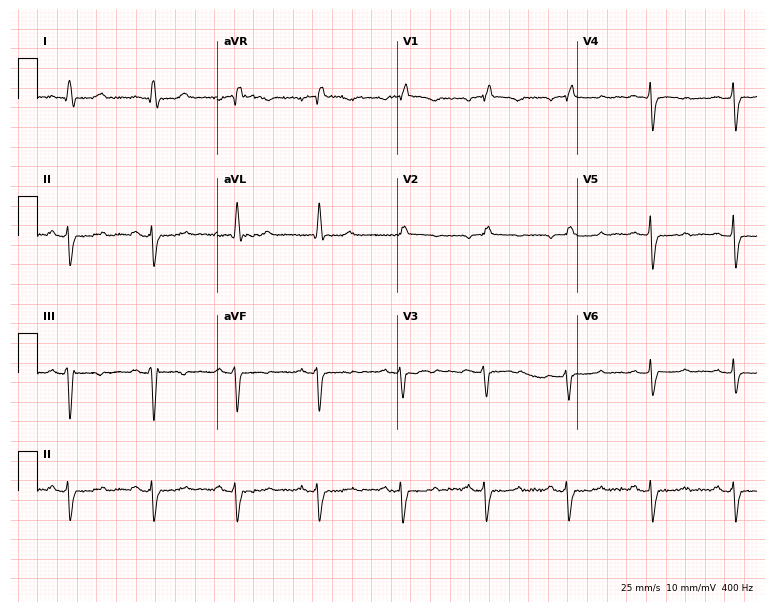
Electrocardiogram (7.3-second recording at 400 Hz), a 52-year-old female. Interpretation includes right bundle branch block (RBBB).